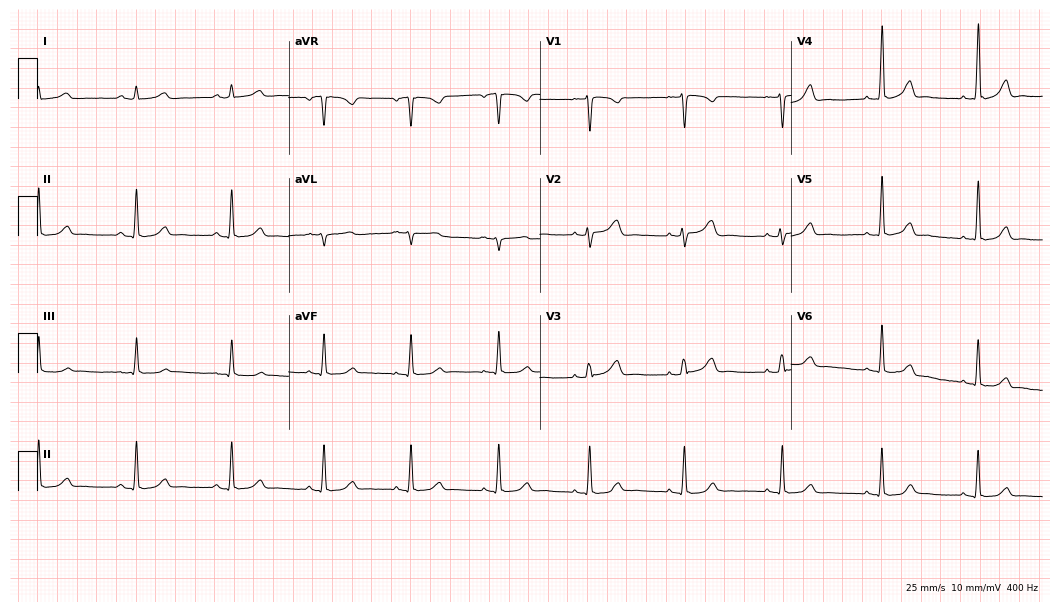
Standard 12-lead ECG recorded from a female, 39 years old (10.2-second recording at 400 Hz). Read as a normal ECG.